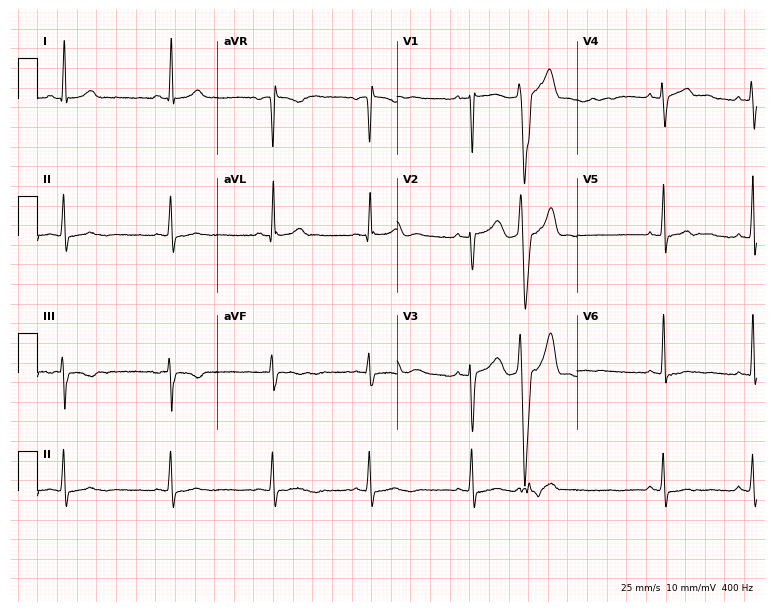
Standard 12-lead ECG recorded from a 49-year-old female patient. None of these six findings is recorded: first-degree AV block, right bundle branch block (RBBB), left bundle branch block (LBBB), sinus bradycardia, atrial fibrillation (AF), sinus tachycardia. Only these six findings were labelled.